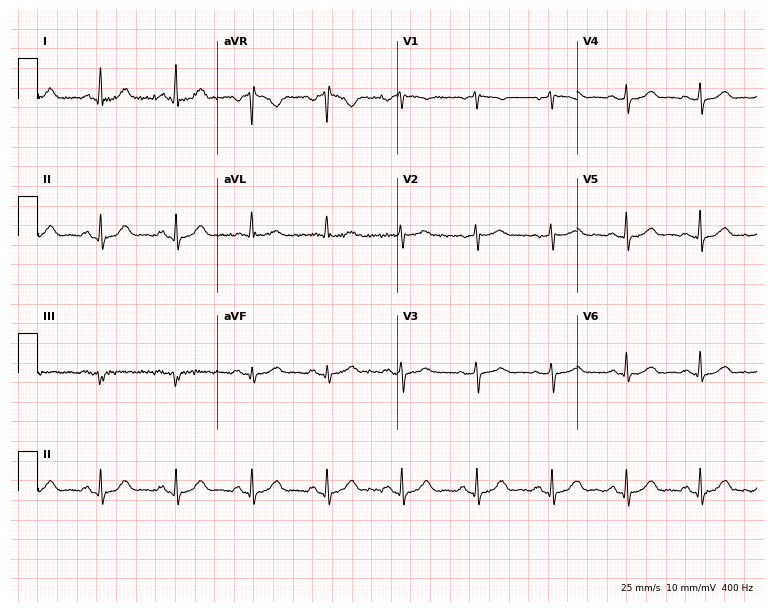
Resting 12-lead electrocardiogram. Patient: a female, 61 years old. None of these six findings is recorded: first-degree AV block, right bundle branch block, left bundle branch block, sinus bradycardia, atrial fibrillation, sinus tachycardia.